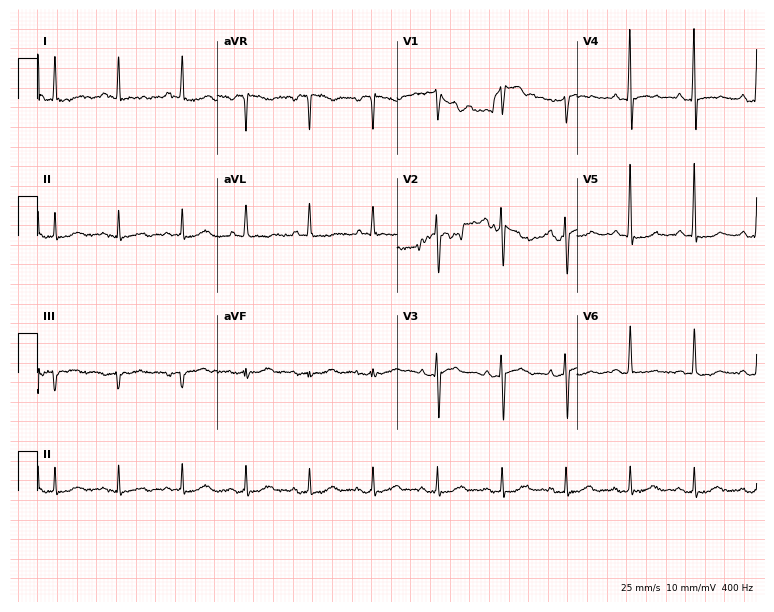
Resting 12-lead electrocardiogram (7.3-second recording at 400 Hz). Patient: a male, 67 years old. None of these six findings is recorded: first-degree AV block, right bundle branch block, left bundle branch block, sinus bradycardia, atrial fibrillation, sinus tachycardia. Other findings, if any, are not listed.